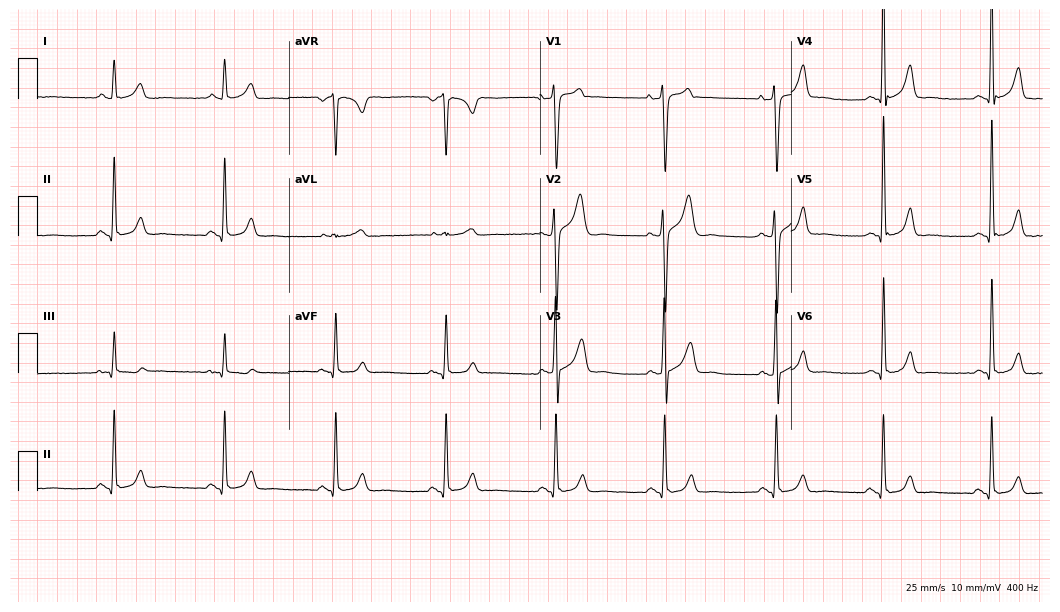
Resting 12-lead electrocardiogram (10.2-second recording at 400 Hz). Patient: a man, 54 years old. Read as a normal ECG.